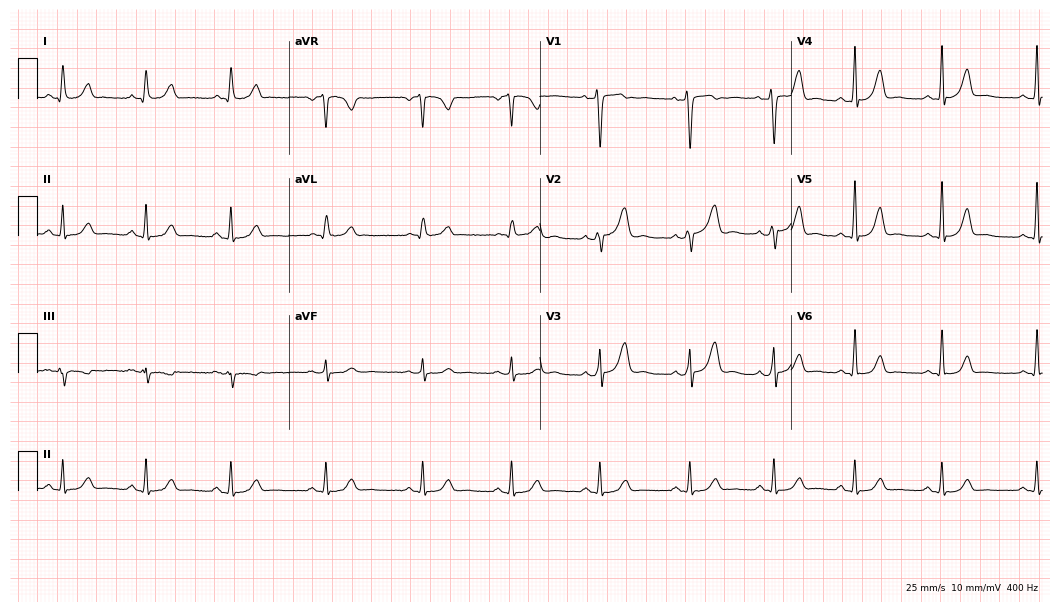
12-lead ECG from a female patient, 40 years old. Recorded interpretation: within normal limits.